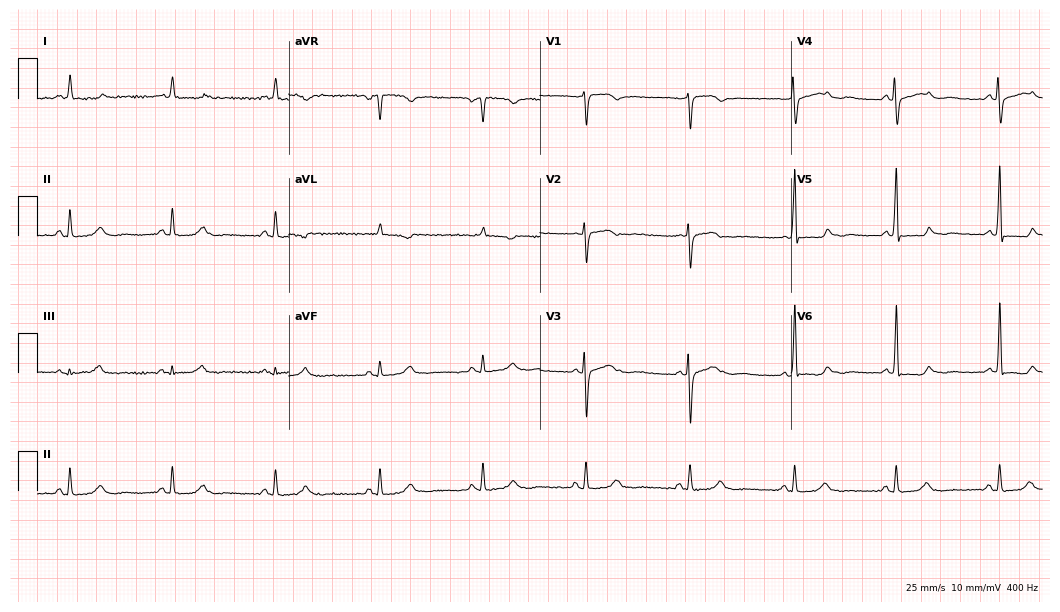
Resting 12-lead electrocardiogram. Patient: a female, 63 years old. None of these six findings is recorded: first-degree AV block, right bundle branch block, left bundle branch block, sinus bradycardia, atrial fibrillation, sinus tachycardia.